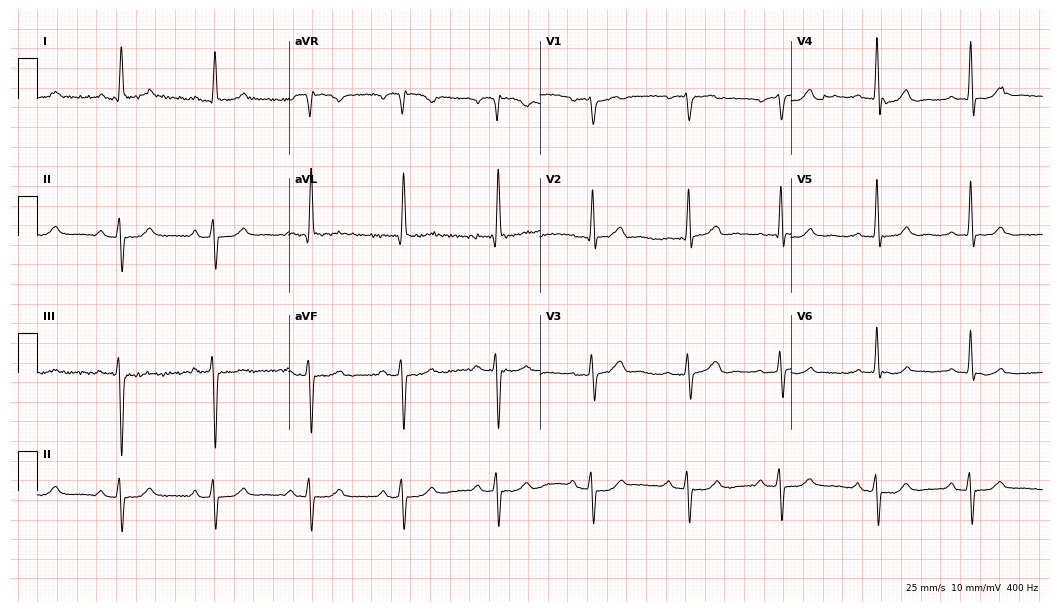
Resting 12-lead electrocardiogram (10.2-second recording at 400 Hz). Patient: a woman, 80 years old. None of these six findings is recorded: first-degree AV block, right bundle branch block, left bundle branch block, sinus bradycardia, atrial fibrillation, sinus tachycardia. Only these six findings were labelled.